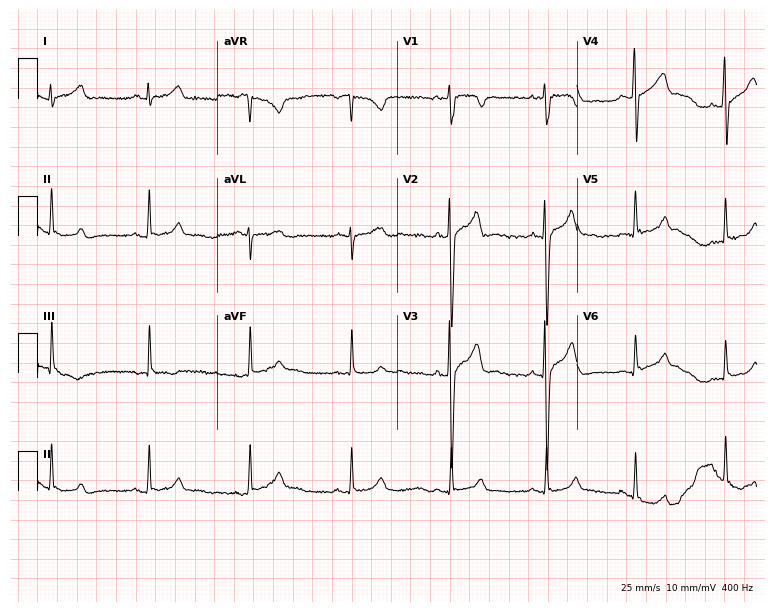
12-lead ECG from a male, 34 years old. No first-degree AV block, right bundle branch block, left bundle branch block, sinus bradycardia, atrial fibrillation or sinus tachycardia recorded for this tracing.